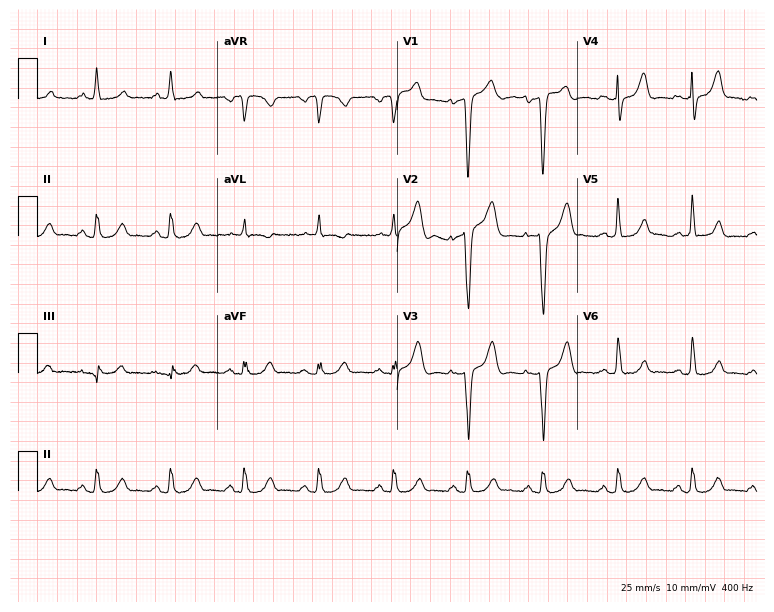
Standard 12-lead ECG recorded from a 58-year-old woman (7.3-second recording at 400 Hz). None of these six findings is recorded: first-degree AV block, right bundle branch block, left bundle branch block, sinus bradycardia, atrial fibrillation, sinus tachycardia. Findings outside these six are not listed.